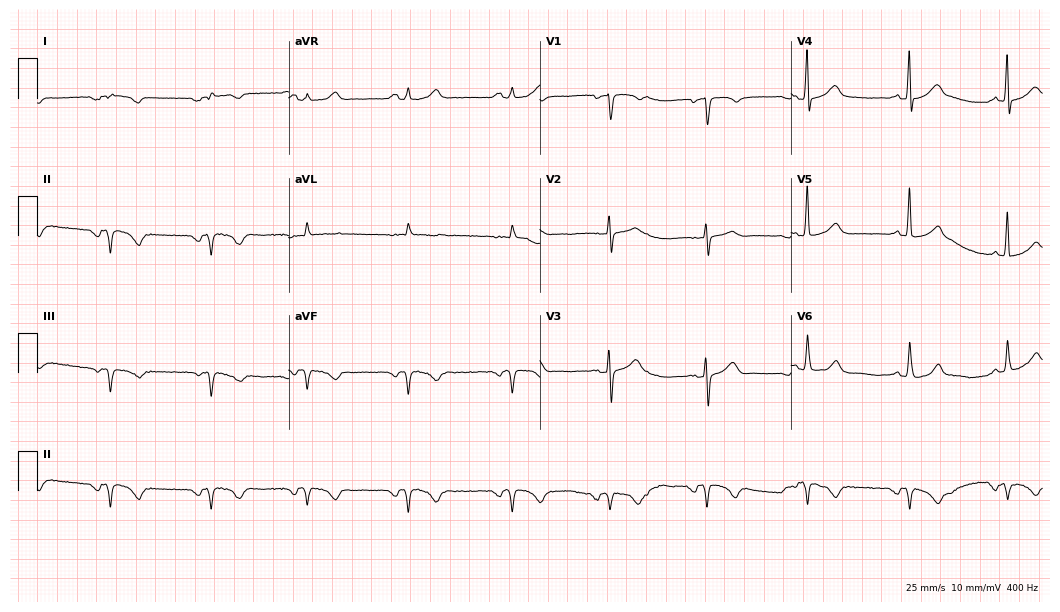
12-lead ECG (10.2-second recording at 400 Hz) from a 72-year-old man. Screened for six findings — first-degree AV block, right bundle branch block (RBBB), left bundle branch block (LBBB), sinus bradycardia, atrial fibrillation (AF), sinus tachycardia — none is recorded. Other findings, if any, are not listed.